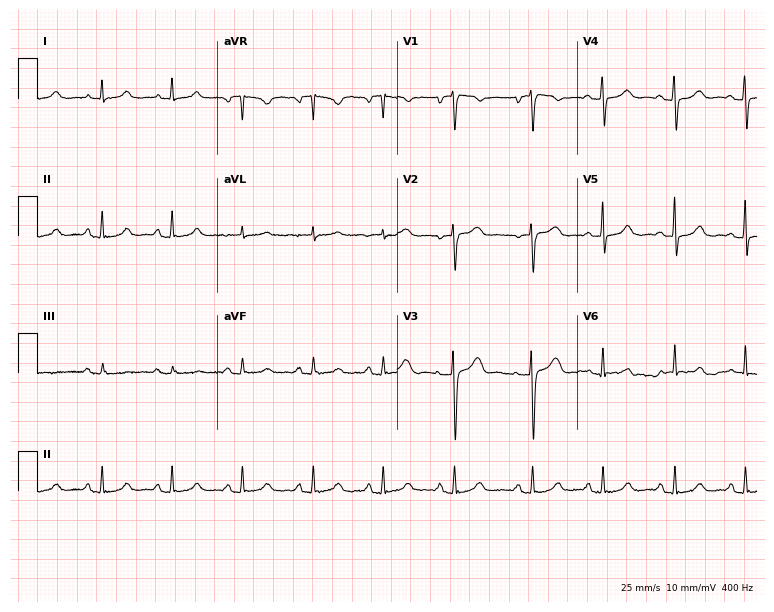
Electrocardiogram, a 58-year-old woman. Of the six screened findings (first-degree AV block, right bundle branch block, left bundle branch block, sinus bradycardia, atrial fibrillation, sinus tachycardia), none is recorded.